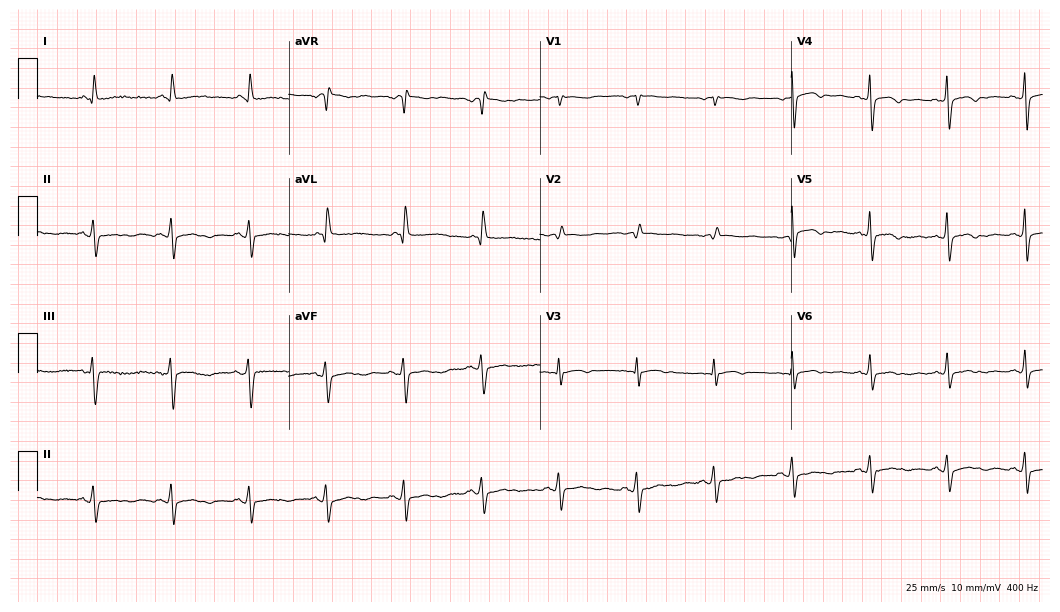
Electrocardiogram (10.2-second recording at 400 Hz), a 74-year-old female patient. Of the six screened findings (first-degree AV block, right bundle branch block, left bundle branch block, sinus bradycardia, atrial fibrillation, sinus tachycardia), none is recorded. Findings outside these six are not listed.